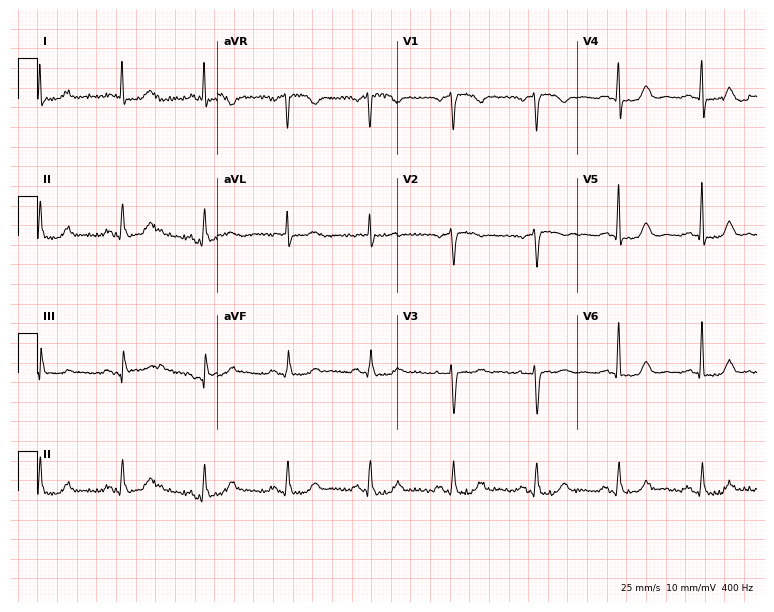
Standard 12-lead ECG recorded from a woman, 61 years old (7.3-second recording at 400 Hz). None of these six findings is recorded: first-degree AV block, right bundle branch block, left bundle branch block, sinus bradycardia, atrial fibrillation, sinus tachycardia. Only these six findings were labelled.